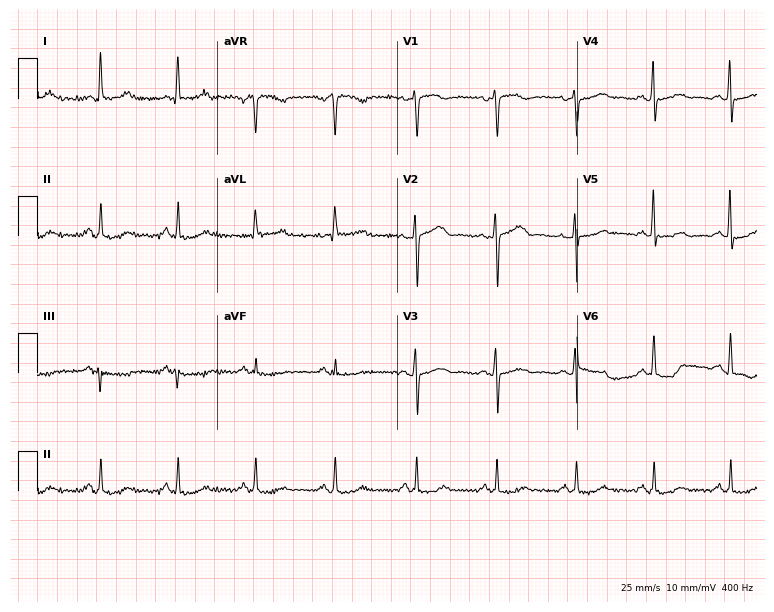
Resting 12-lead electrocardiogram (7.3-second recording at 400 Hz). Patient: a 61-year-old woman. None of these six findings is recorded: first-degree AV block, right bundle branch block (RBBB), left bundle branch block (LBBB), sinus bradycardia, atrial fibrillation (AF), sinus tachycardia. Findings outside these six are not listed.